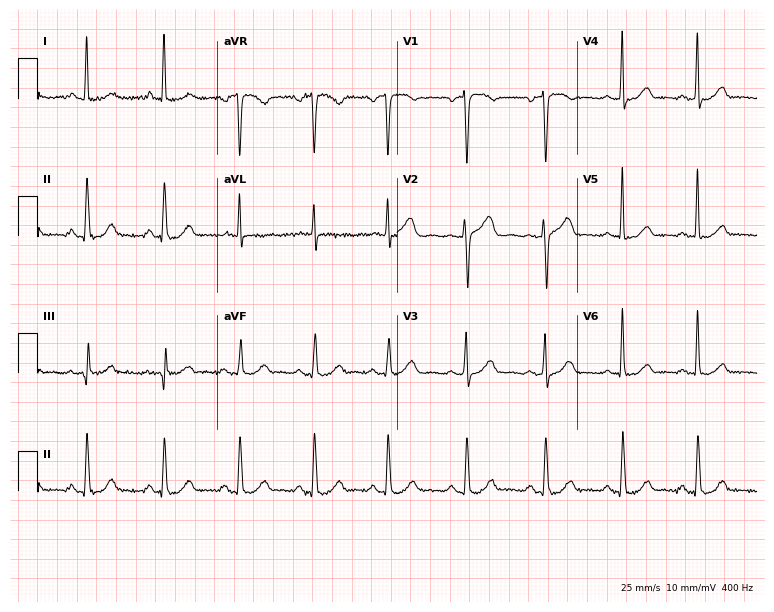
Electrocardiogram, a female patient, 58 years old. Overall reading on record: normal ECG.